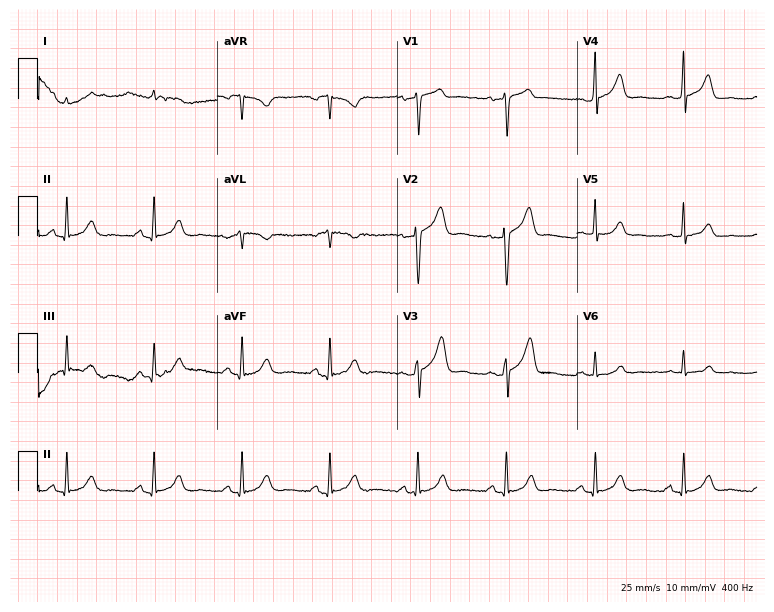
Electrocardiogram (7.3-second recording at 400 Hz), a 61-year-old male. Overall reading on record: normal ECG.